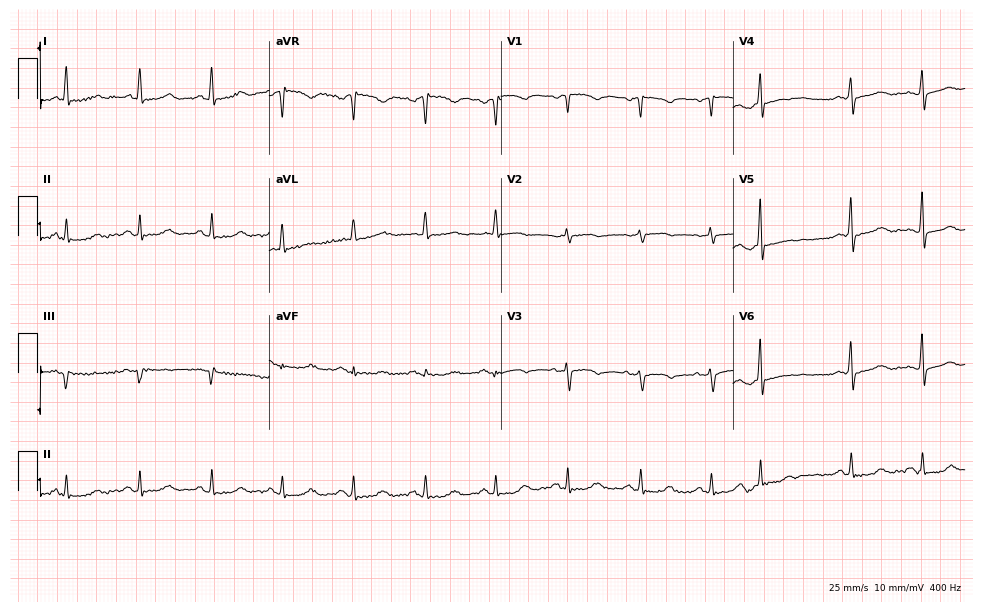
Standard 12-lead ECG recorded from a woman, 72 years old (9.5-second recording at 400 Hz). None of these six findings is recorded: first-degree AV block, right bundle branch block, left bundle branch block, sinus bradycardia, atrial fibrillation, sinus tachycardia.